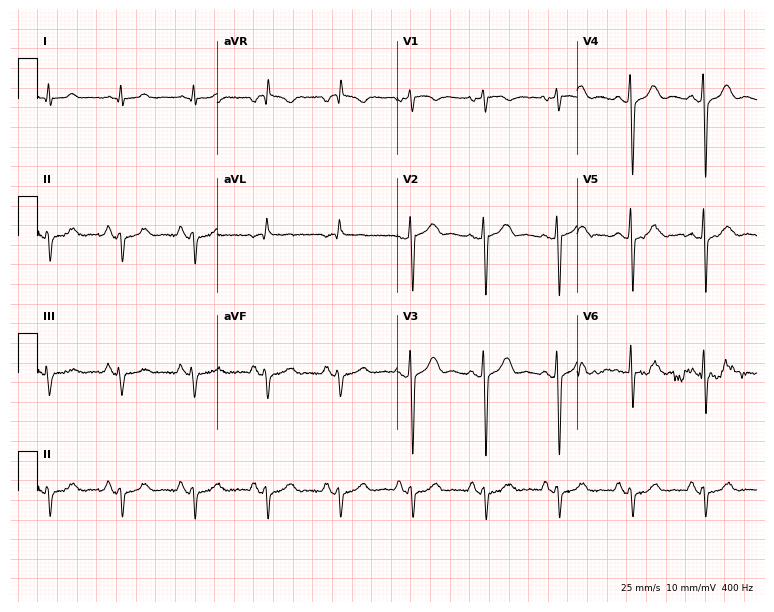
Standard 12-lead ECG recorded from a 49-year-old male (7.3-second recording at 400 Hz). None of these six findings is recorded: first-degree AV block, right bundle branch block, left bundle branch block, sinus bradycardia, atrial fibrillation, sinus tachycardia. Other findings, if any, are not listed.